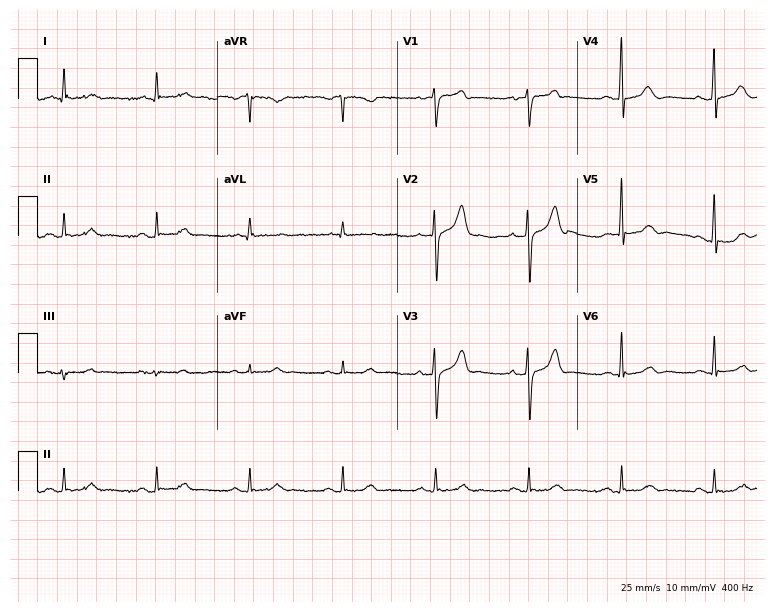
Resting 12-lead electrocardiogram (7.3-second recording at 400 Hz). Patient: a male, 81 years old. Read as a normal ECG.